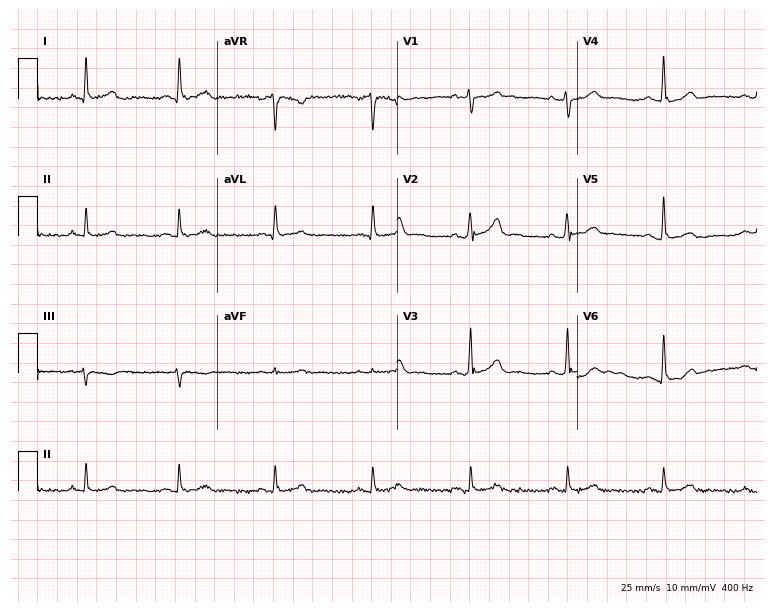
12-lead ECG from a 48-year-old male. Recorded interpretation: within normal limits.